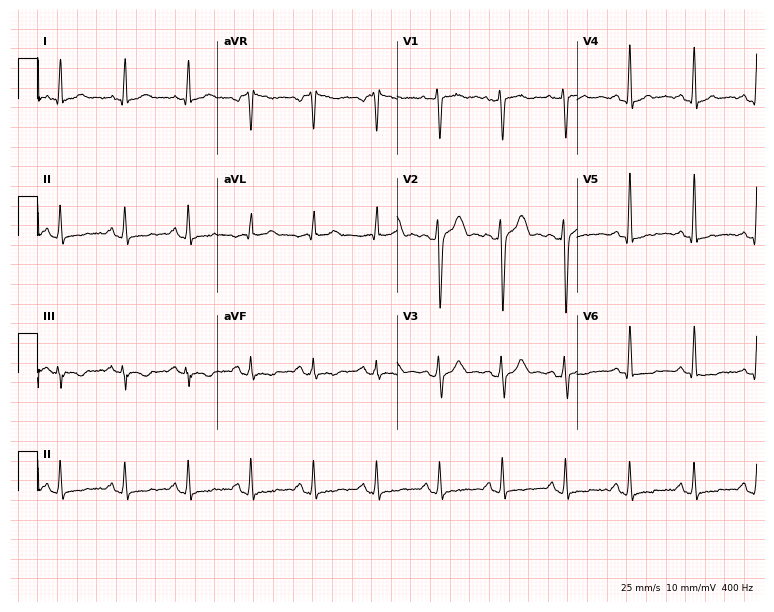
ECG — a 34-year-old male. Screened for six findings — first-degree AV block, right bundle branch block (RBBB), left bundle branch block (LBBB), sinus bradycardia, atrial fibrillation (AF), sinus tachycardia — none is recorded.